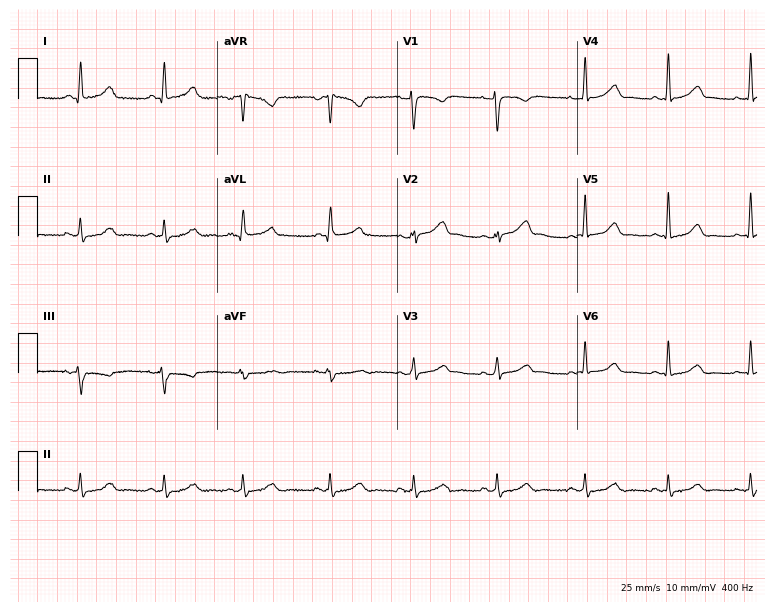
12-lead ECG from a female, 38 years old. Labelled as a normal ECG.